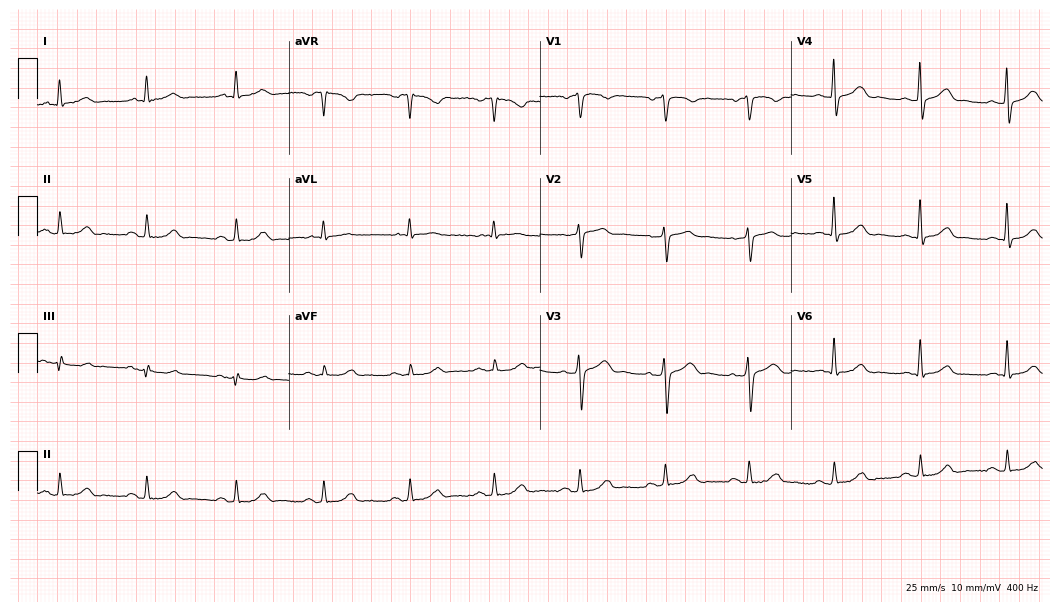
ECG — a male patient, 59 years old. Labelled as a normal ECG.